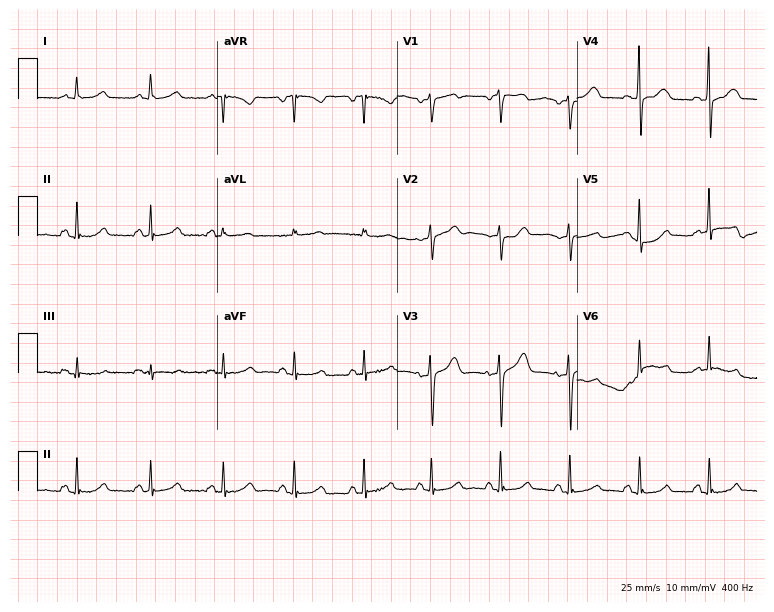
Resting 12-lead electrocardiogram (7.3-second recording at 400 Hz). Patient: a 56-year-old female. None of these six findings is recorded: first-degree AV block, right bundle branch block, left bundle branch block, sinus bradycardia, atrial fibrillation, sinus tachycardia. Other findings, if any, are not listed.